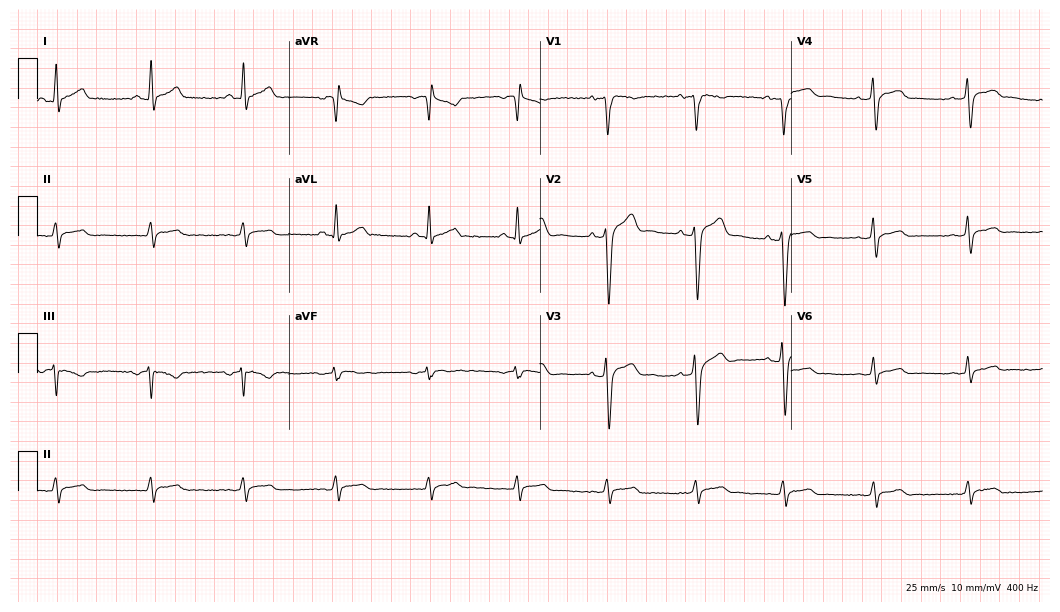
Standard 12-lead ECG recorded from a 39-year-old male (10.2-second recording at 400 Hz). Read as a normal ECG.